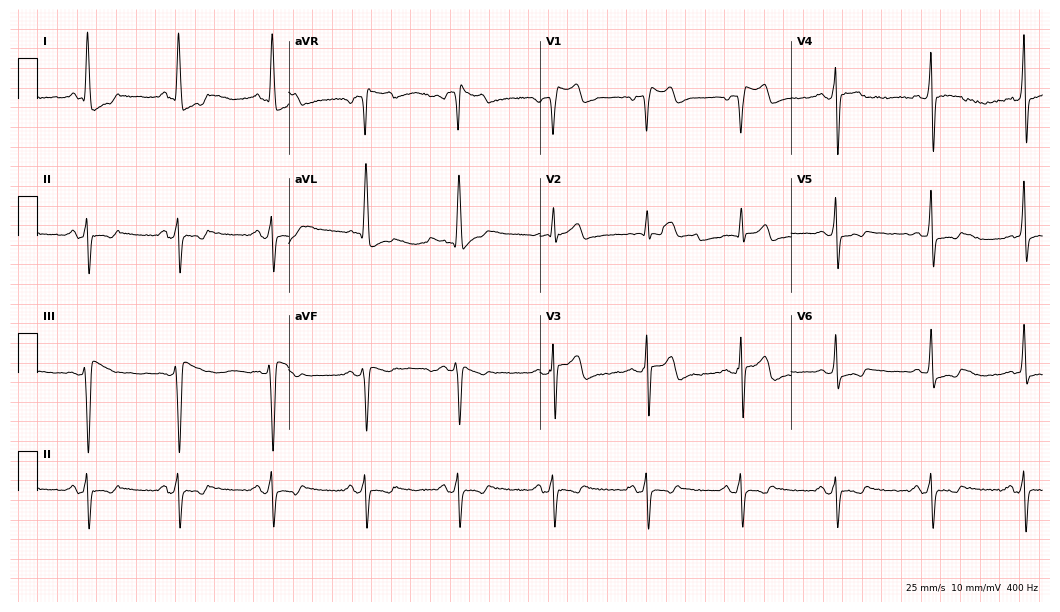
12-lead ECG from a 39-year-old man (10.2-second recording at 400 Hz). No first-degree AV block, right bundle branch block, left bundle branch block, sinus bradycardia, atrial fibrillation or sinus tachycardia recorded for this tracing.